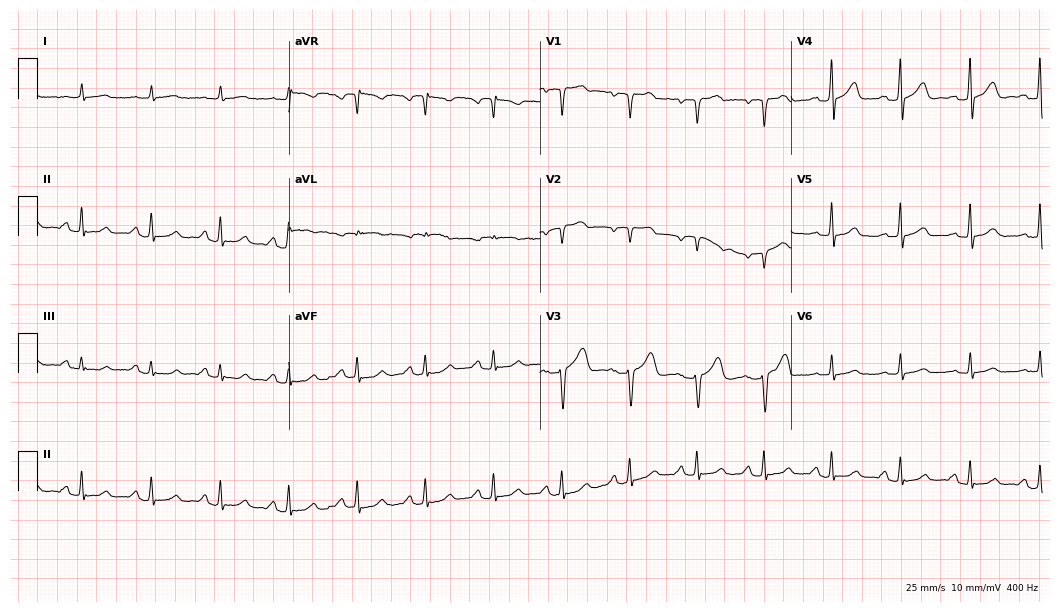
Standard 12-lead ECG recorded from a 72-year-old male (10.2-second recording at 400 Hz). Read as a normal ECG.